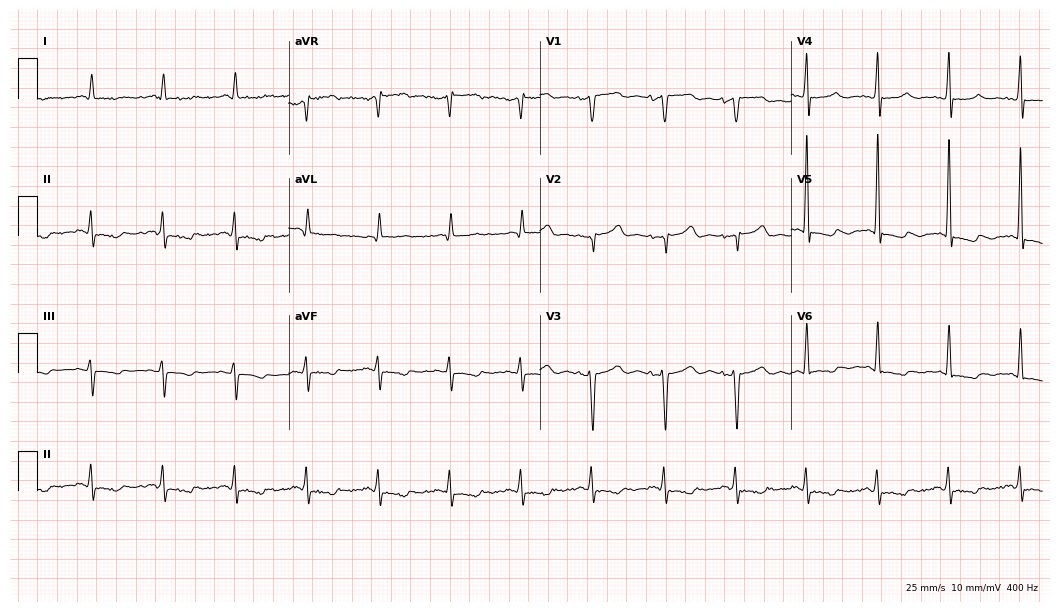
12-lead ECG from a 77-year-old man. Screened for six findings — first-degree AV block, right bundle branch block (RBBB), left bundle branch block (LBBB), sinus bradycardia, atrial fibrillation (AF), sinus tachycardia — none is recorded.